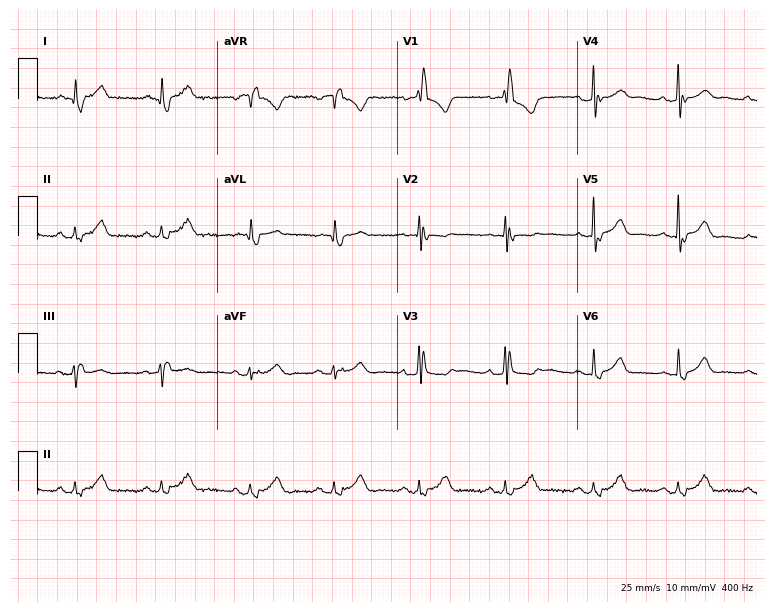
Resting 12-lead electrocardiogram (7.3-second recording at 400 Hz). Patient: an 81-year-old female. The tracing shows right bundle branch block.